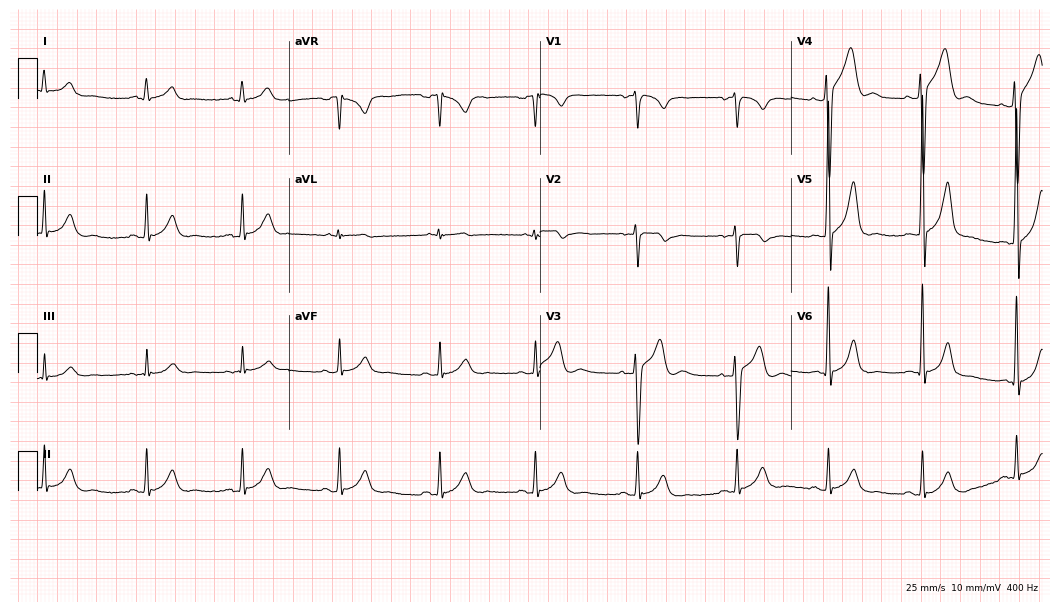
ECG (10.2-second recording at 400 Hz) — a male patient, 28 years old. Labelled as a normal ECG.